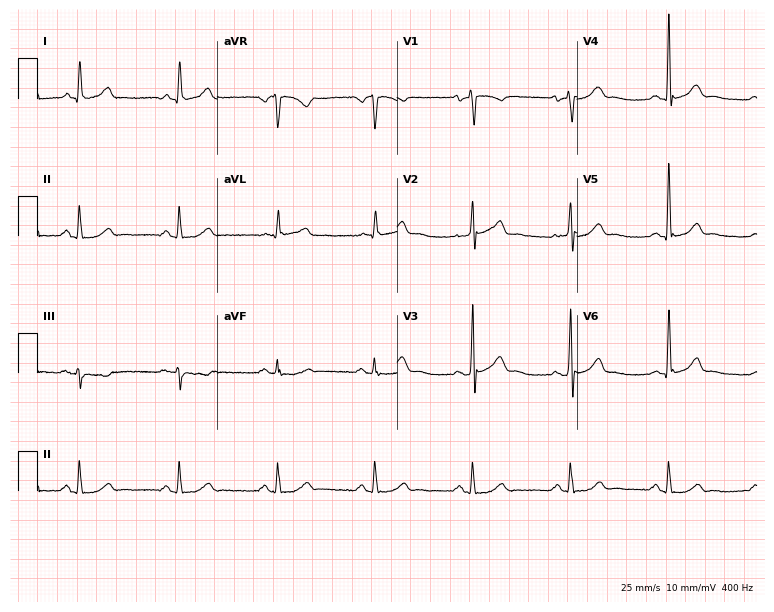
12-lead ECG from a man, 67 years old (7.3-second recording at 400 Hz). Recorded interpretation: within normal limits.